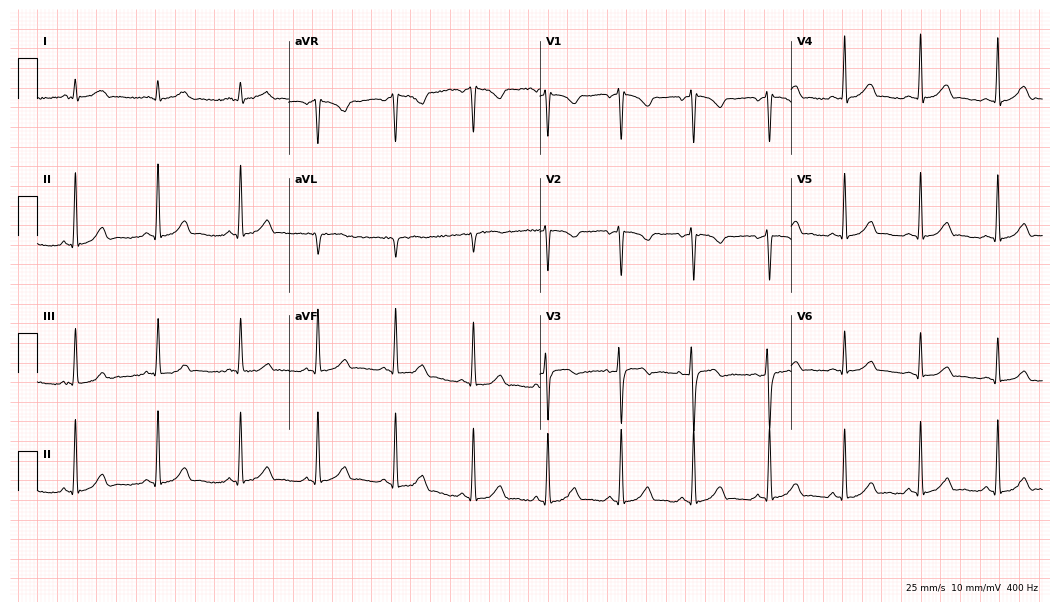
12-lead ECG from a 24-year-old female. No first-degree AV block, right bundle branch block (RBBB), left bundle branch block (LBBB), sinus bradycardia, atrial fibrillation (AF) or sinus tachycardia recorded for this tracing.